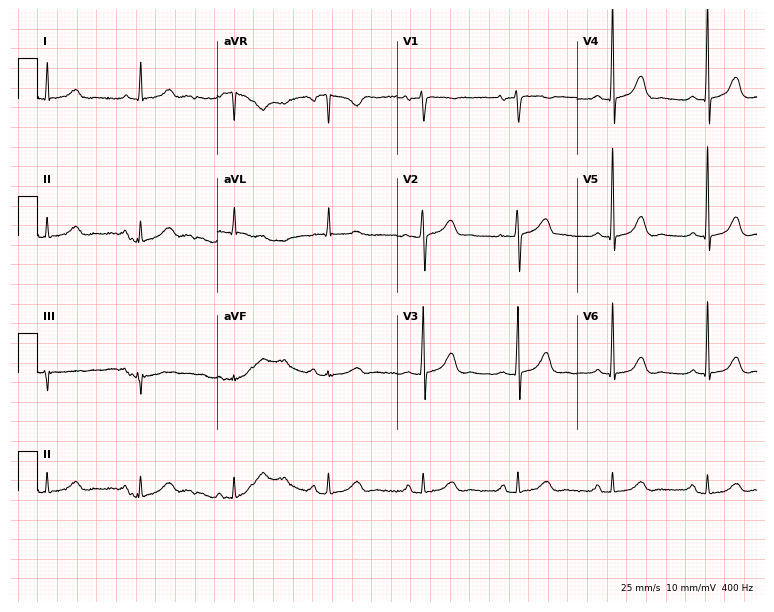
Resting 12-lead electrocardiogram (7.3-second recording at 400 Hz). Patient: a 54-year-old female. Read as a normal ECG.